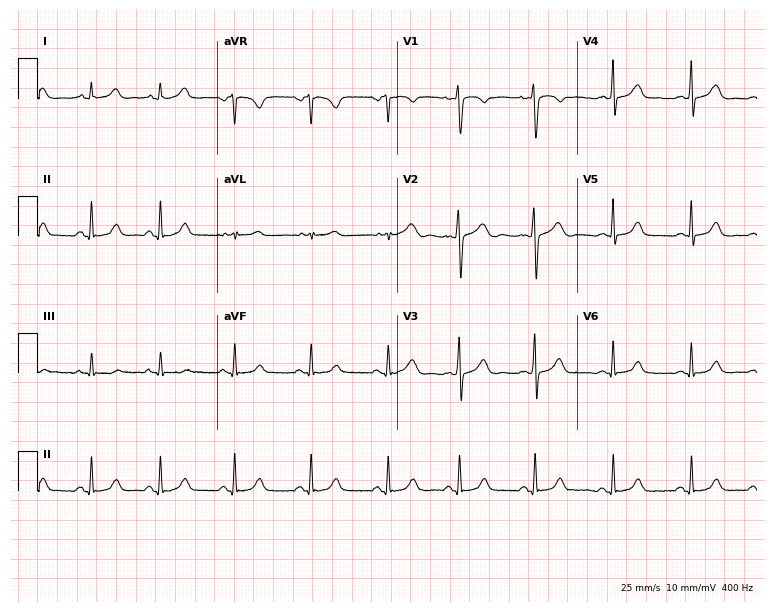
Resting 12-lead electrocardiogram (7.3-second recording at 400 Hz). Patient: a female, 21 years old. Read as a normal ECG.